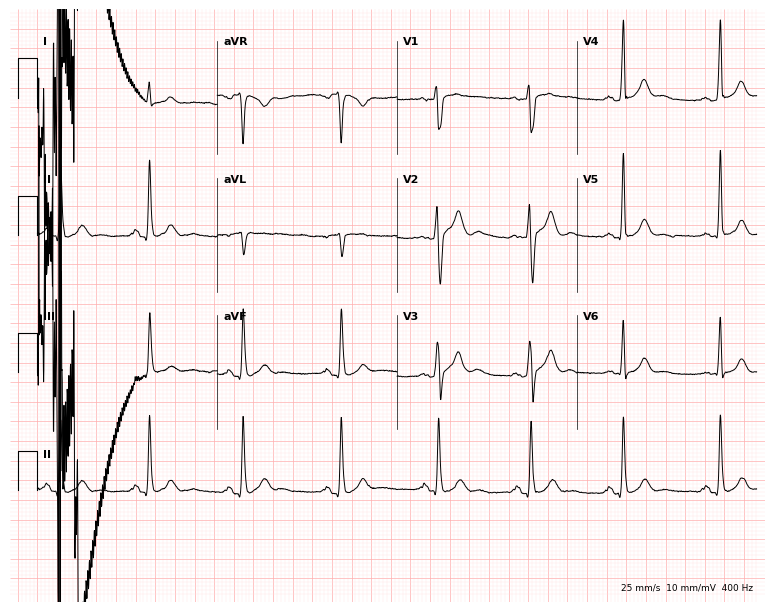
12-lead ECG from a man, 28 years old. Labelled as a normal ECG.